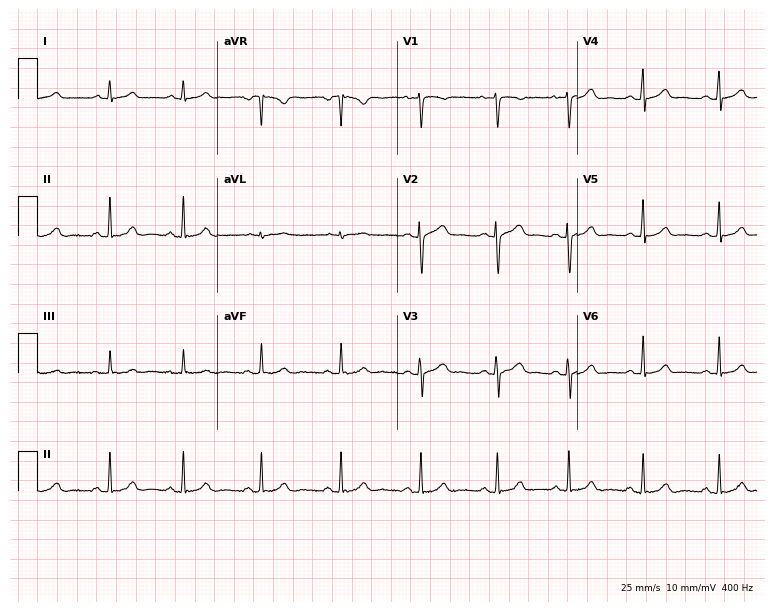
ECG — a woman, 17 years old. Labelled as a normal ECG.